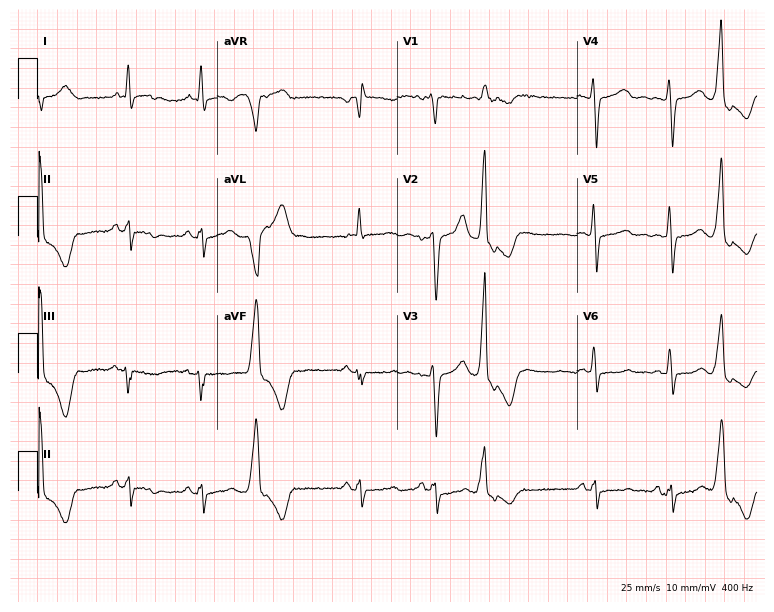
ECG — a 56-year-old female. Screened for six findings — first-degree AV block, right bundle branch block, left bundle branch block, sinus bradycardia, atrial fibrillation, sinus tachycardia — none is recorded. Findings outside these six are not listed.